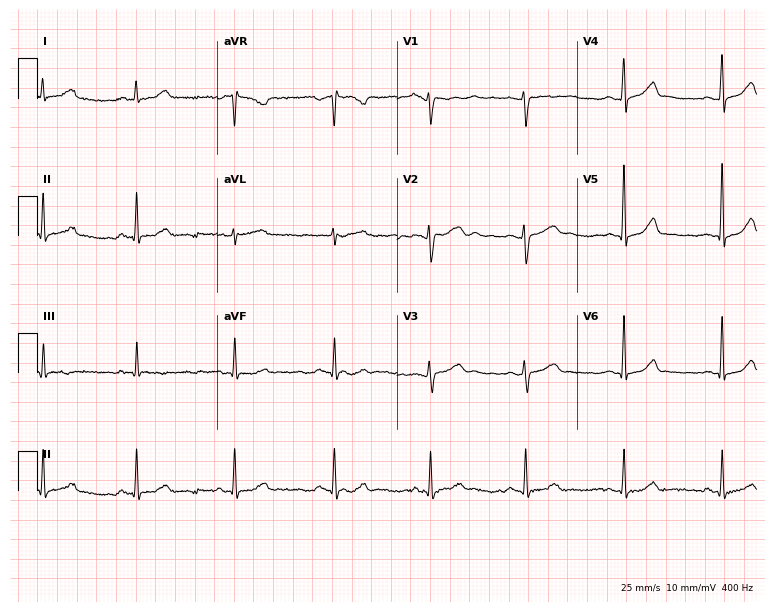
12-lead ECG from a woman, 34 years old. Screened for six findings — first-degree AV block, right bundle branch block, left bundle branch block, sinus bradycardia, atrial fibrillation, sinus tachycardia — none is recorded. Only these six findings were labelled.